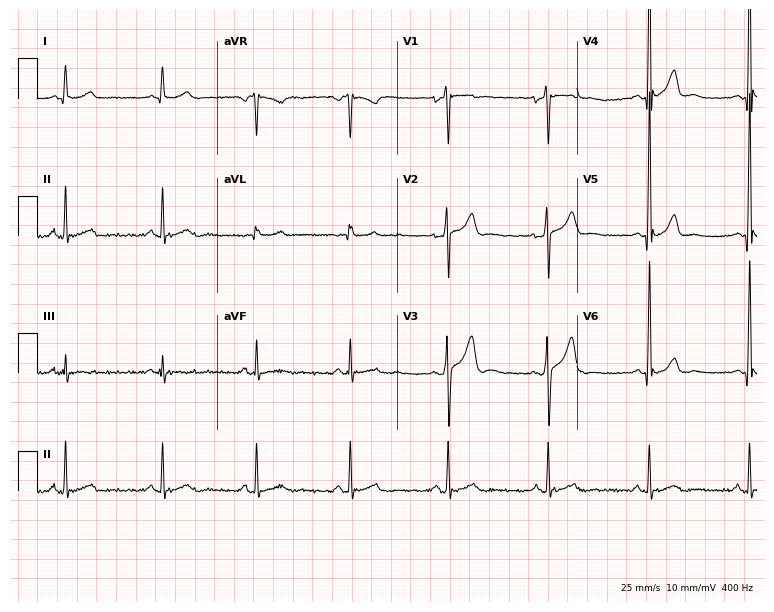
ECG — a male, 33 years old. Labelled as a normal ECG.